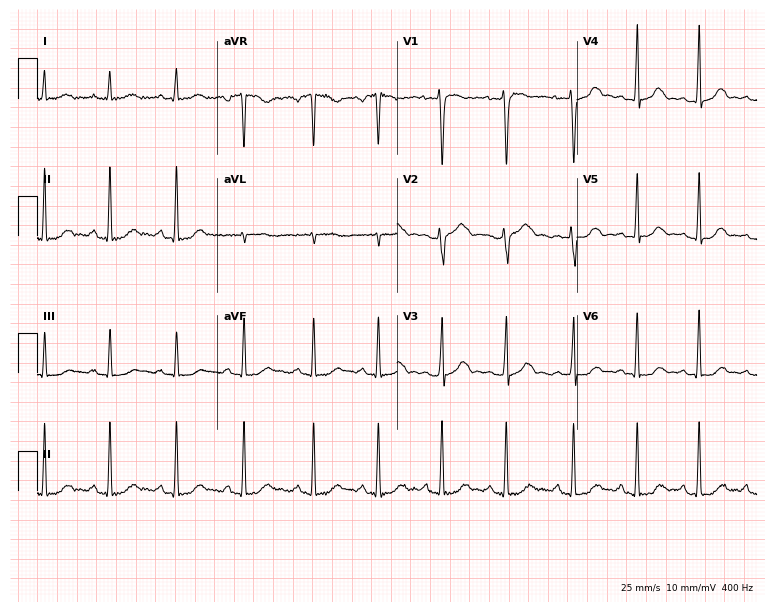
ECG — a 32-year-old female. Screened for six findings — first-degree AV block, right bundle branch block (RBBB), left bundle branch block (LBBB), sinus bradycardia, atrial fibrillation (AF), sinus tachycardia — none is recorded. Findings outside these six are not listed.